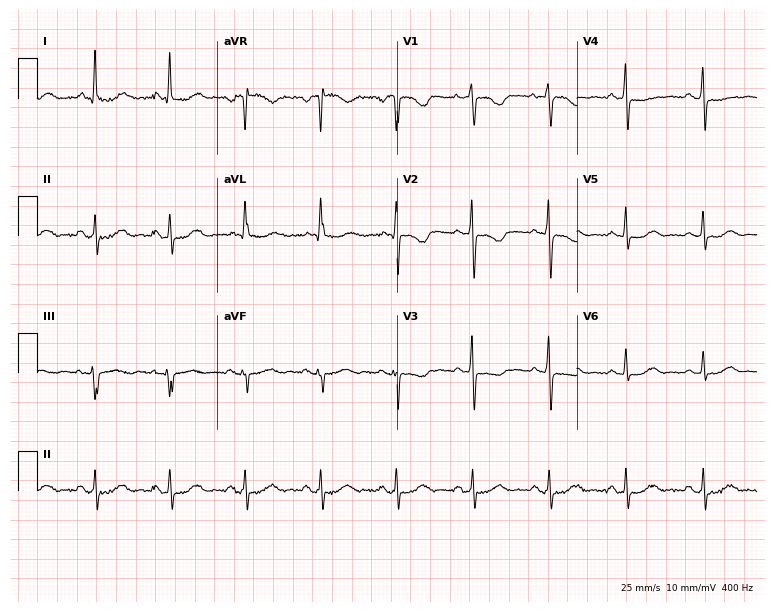
Resting 12-lead electrocardiogram (7.3-second recording at 400 Hz). Patient: a 67-year-old woman. None of these six findings is recorded: first-degree AV block, right bundle branch block, left bundle branch block, sinus bradycardia, atrial fibrillation, sinus tachycardia.